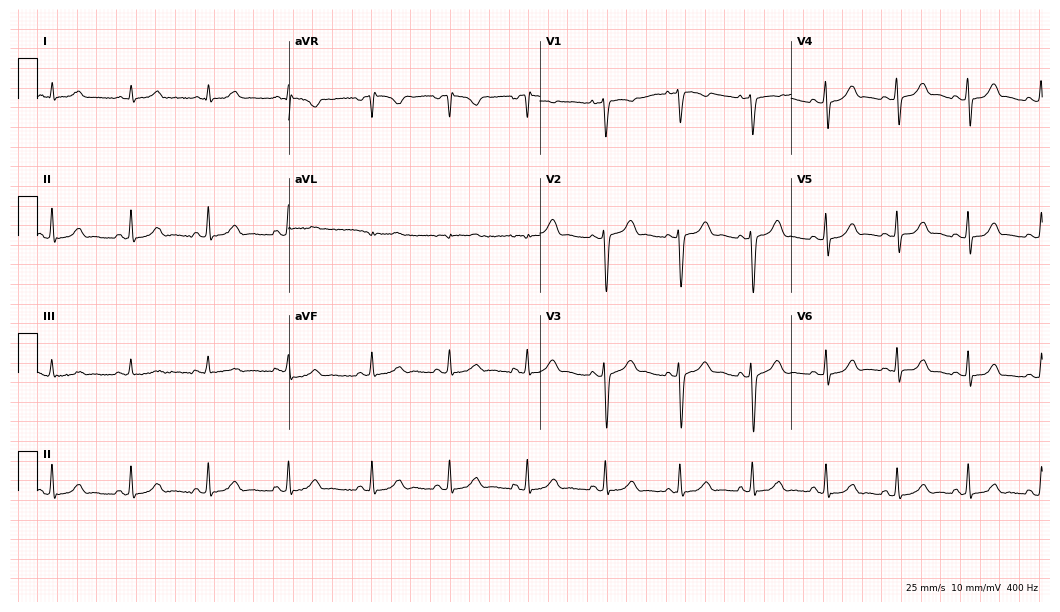
Electrocardiogram (10.2-second recording at 400 Hz), a 24-year-old female. Overall reading on record: normal ECG.